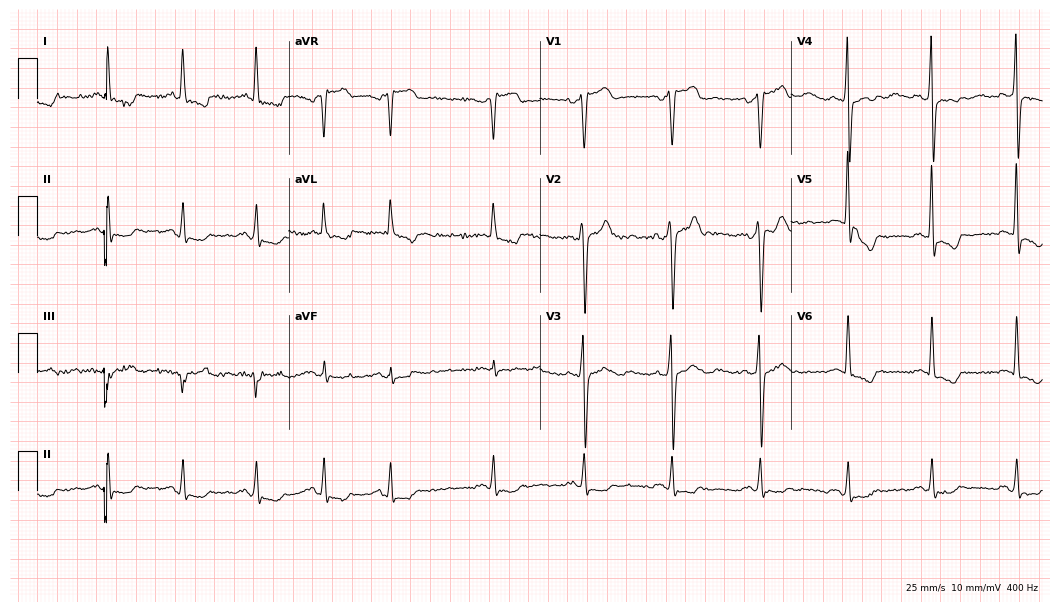
12-lead ECG from a 55-year-old male. Screened for six findings — first-degree AV block, right bundle branch block, left bundle branch block, sinus bradycardia, atrial fibrillation, sinus tachycardia — none is recorded.